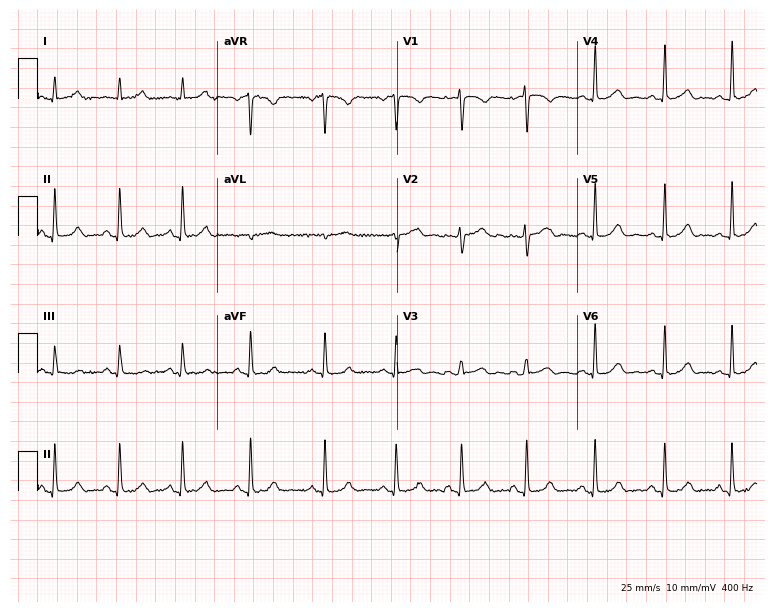
Electrocardiogram, a 30-year-old female patient. Overall reading on record: normal ECG.